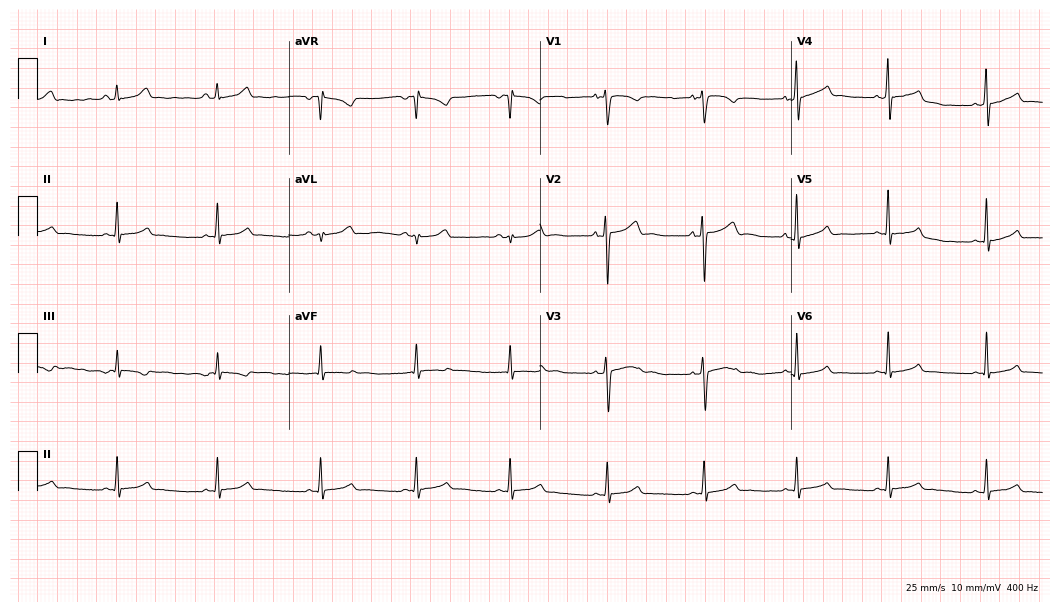
12-lead ECG (10.2-second recording at 400 Hz) from a female patient, 24 years old. Labelled as a normal ECG.